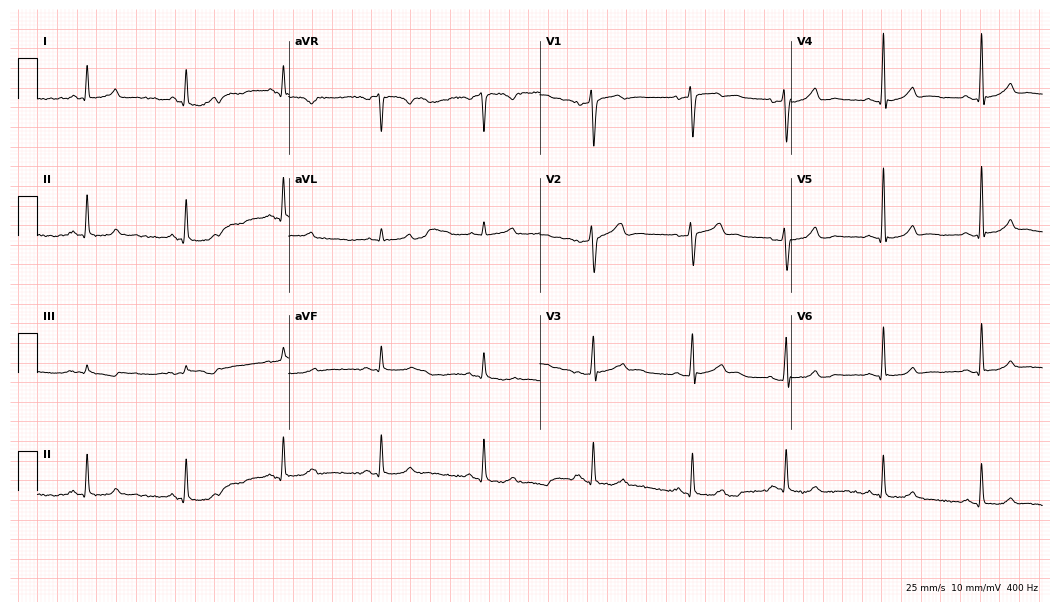
Electrocardiogram (10.2-second recording at 400 Hz), a 42-year-old female. Overall reading on record: normal ECG.